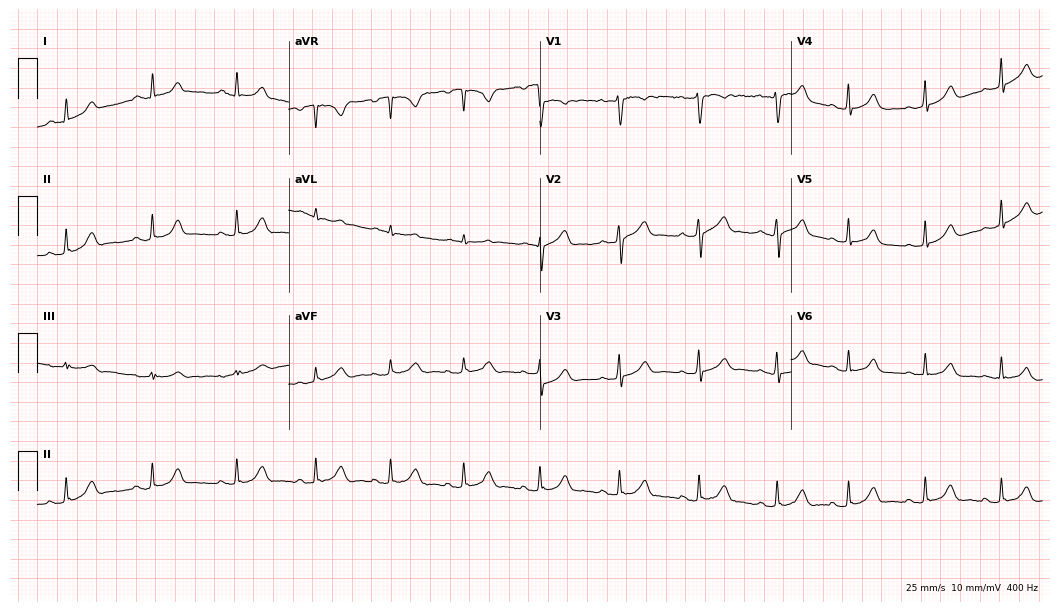
12-lead ECG from a female, 20 years old (10.2-second recording at 400 Hz). Recorded interpretation: within normal limits.